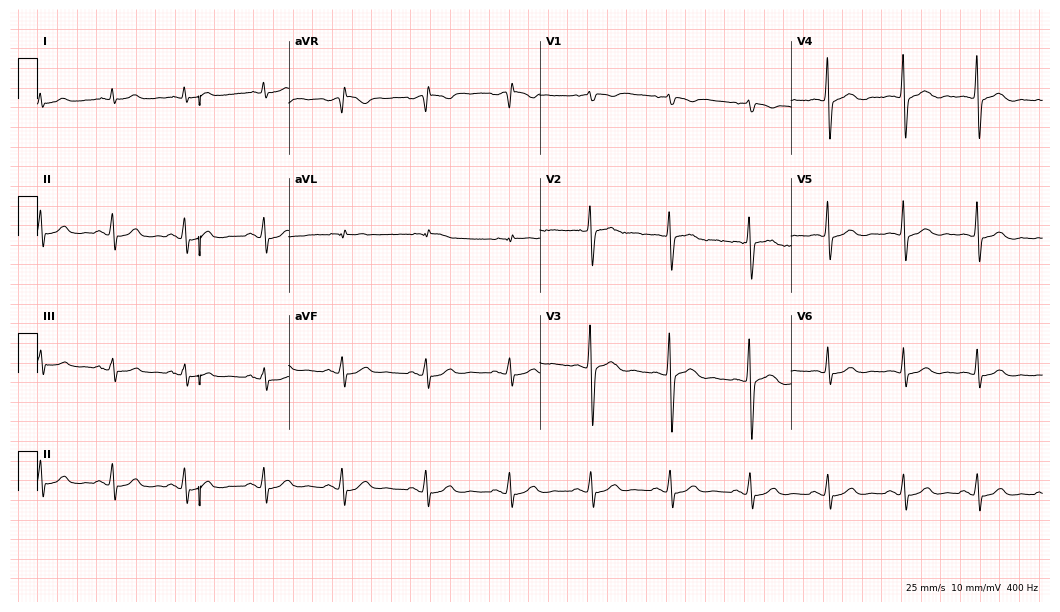
ECG (10.2-second recording at 400 Hz) — a 43-year-old male. Labelled as a normal ECG.